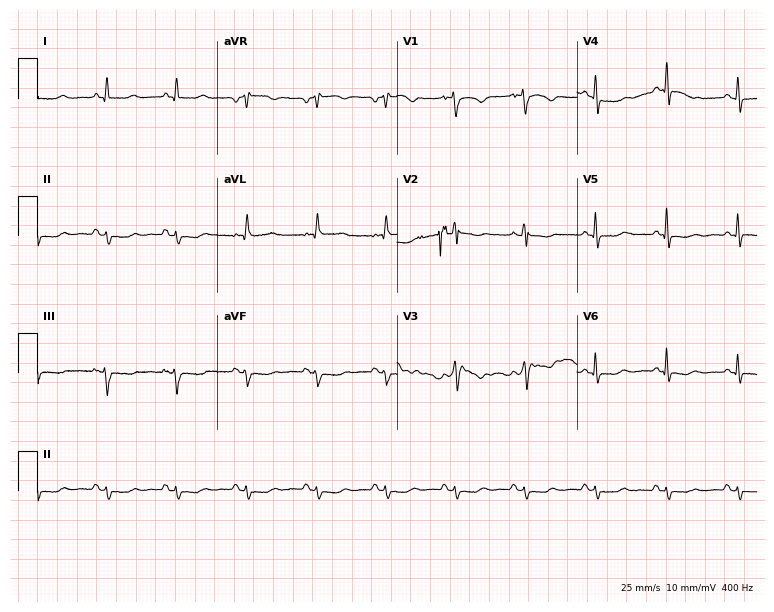
Electrocardiogram, a 59-year-old female. Of the six screened findings (first-degree AV block, right bundle branch block (RBBB), left bundle branch block (LBBB), sinus bradycardia, atrial fibrillation (AF), sinus tachycardia), none is recorded. Only these six findings were labelled.